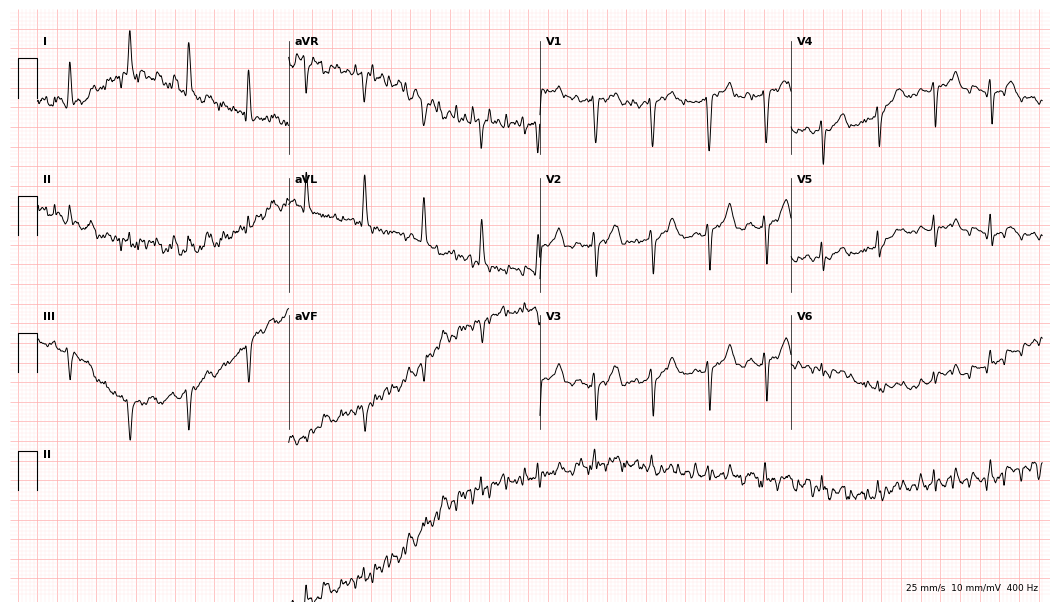
12-lead ECG from a 58-year-old woman (10.2-second recording at 400 Hz). No first-degree AV block, right bundle branch block, left bundle branch block, sinus bradycardia, atrial fibrillation or sinus tachycardia recorded for this tracing. Other findings, if any, are not listed.